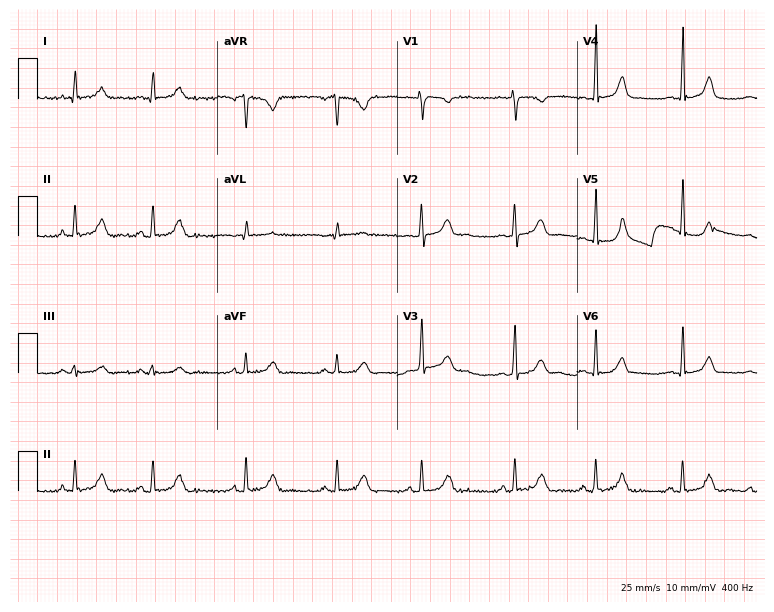
ECG — a female patient, 19 years old. Labelled as a normal ECG.